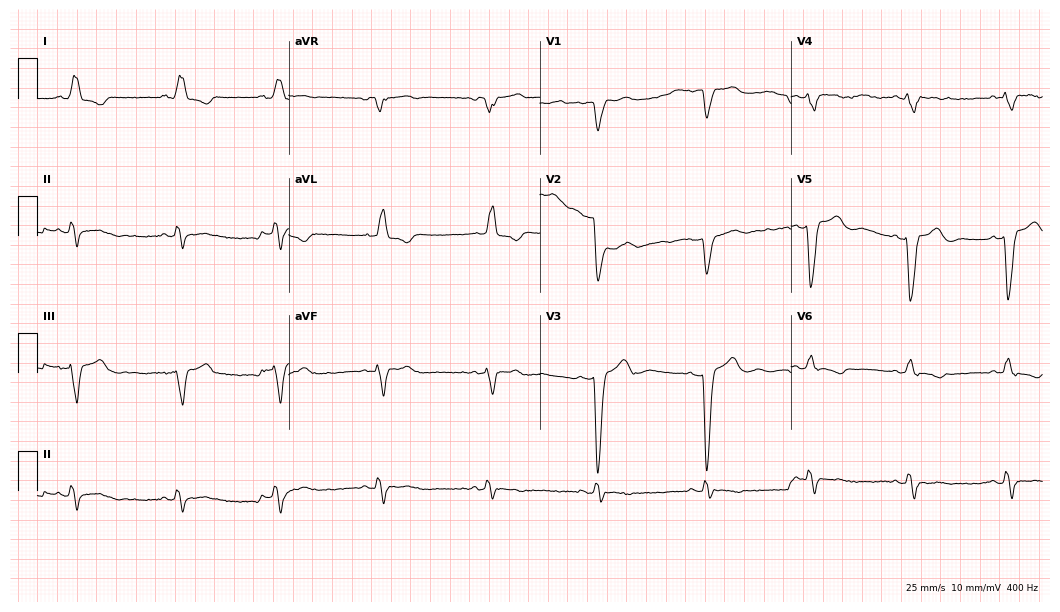
Resting 12-lead electrocardiogram. Patient: a woman, 49 years old. None of these six findings is recorded: first-degree AV block, right bundle branch block (RBBB), left bundle branch block (LBBB), sinus bradycardia, atrial fibrillation (AF), sinus tachycardia. Findings outside these six are not listed.